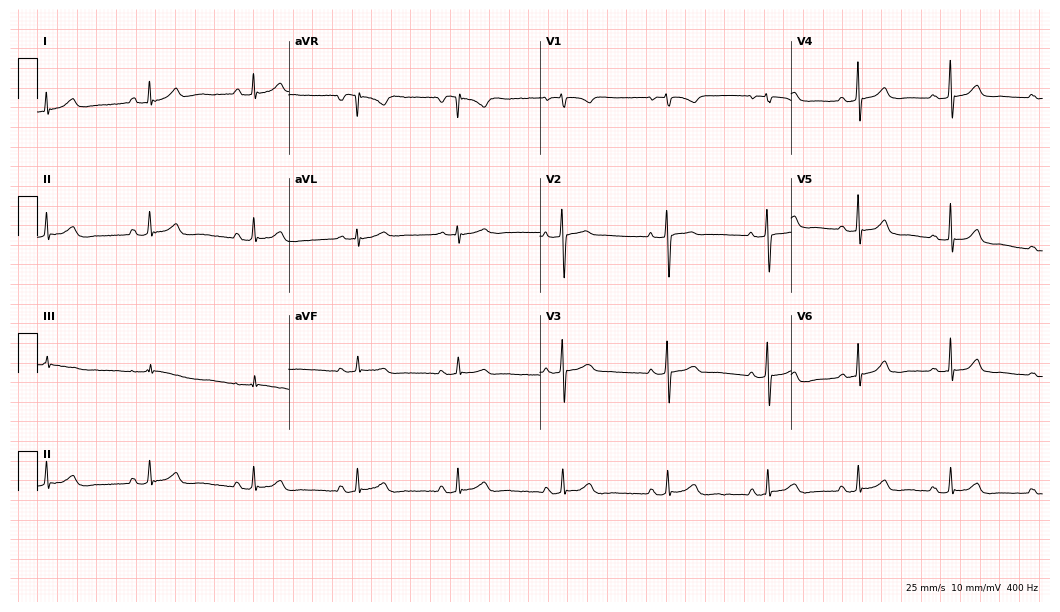
ECG — a 25-year-old woman. Labelled as a normal ECG.